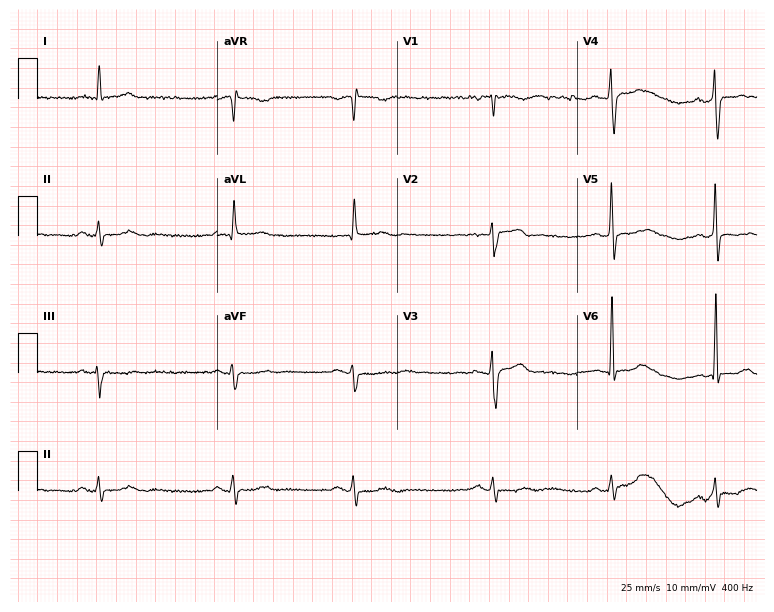
12-lead ECG from a 79-year-old man (7.3-second recording at 400 Hz). Shows sinus bradycardia (a sinus rate of 50 beats per minute or less).